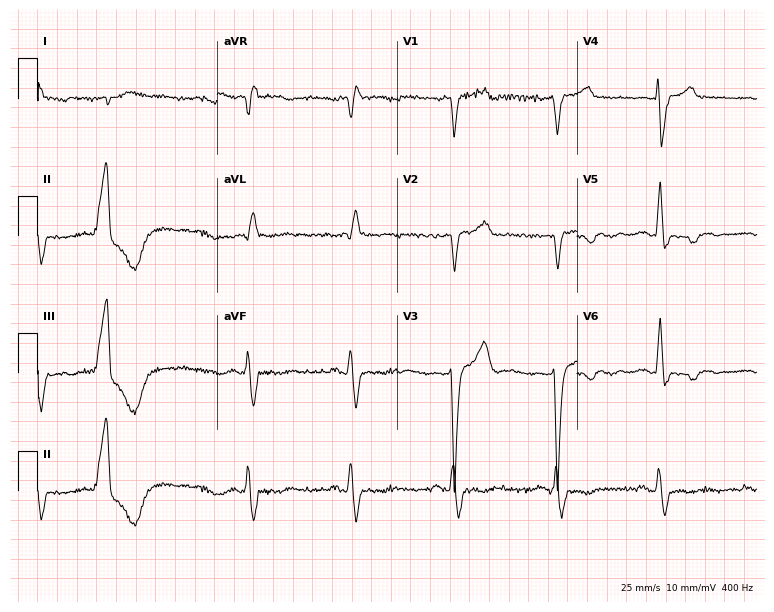
ECG (7.3-second recording at 400 Hz) — a 77-year-old man. Findings include left bundle branch block.